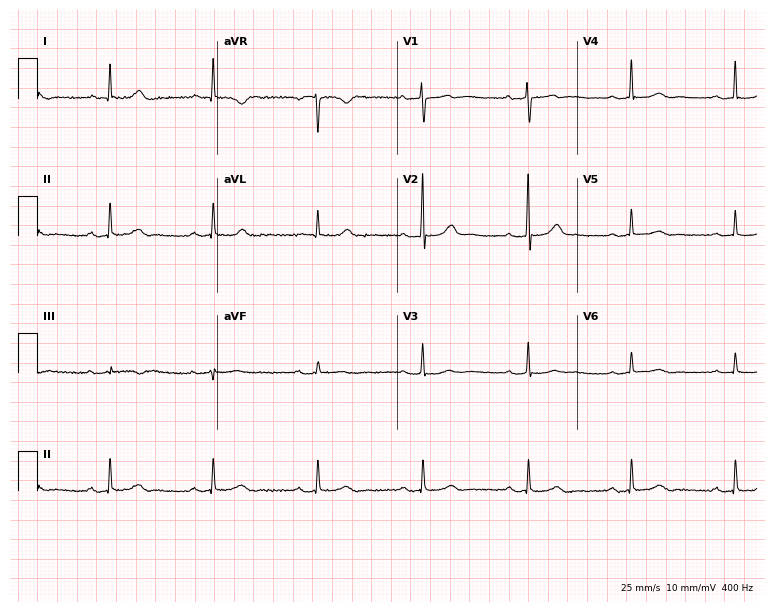
12-lead ECG (7.3-second recording at 400 Hz) from a 77-year-old female patient. Screened for six findings — first-degree AV block, right bundle branch block (RBBB), left bundle branch block (LBBB), sinus bradycardia, atrial fibrillation (AF), sinus tachycardia — none is recorded.